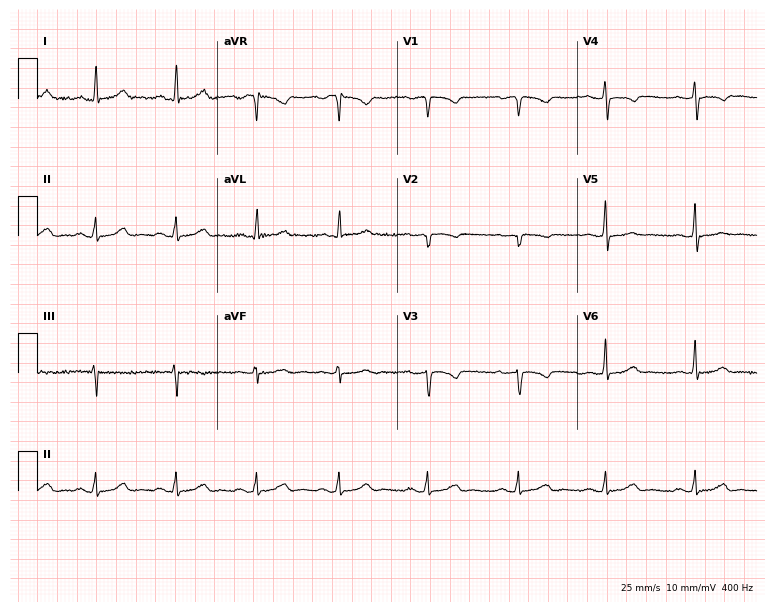
Resting 12-lead electrocardiogram (7.3-second recording at 400 Hz). Patient: a 33-year-old female. Read as a normal ECG.